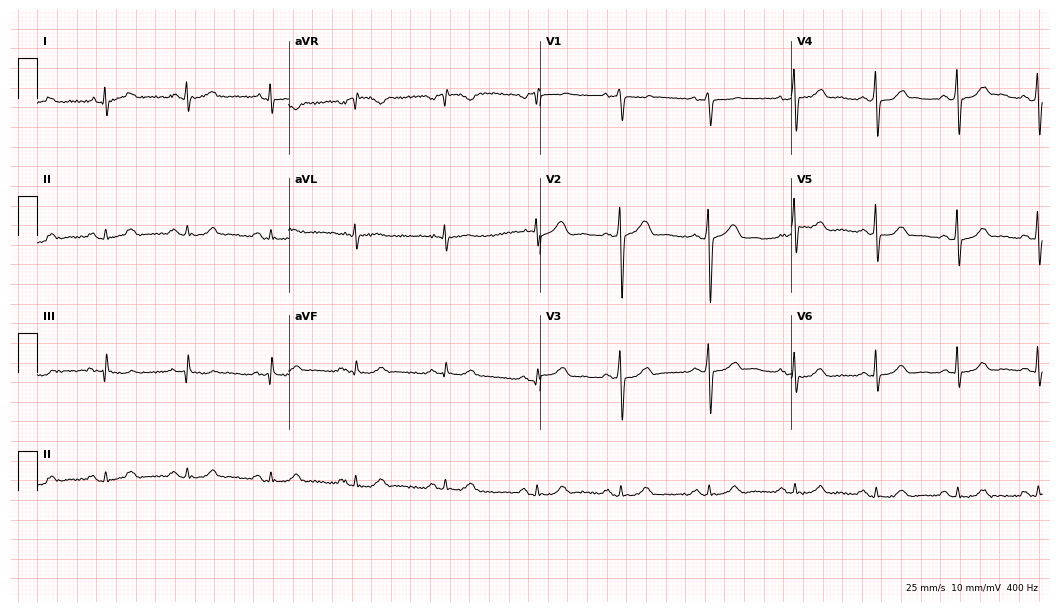
ECG — a 54-year-old man. Labelled as a normal ECG.